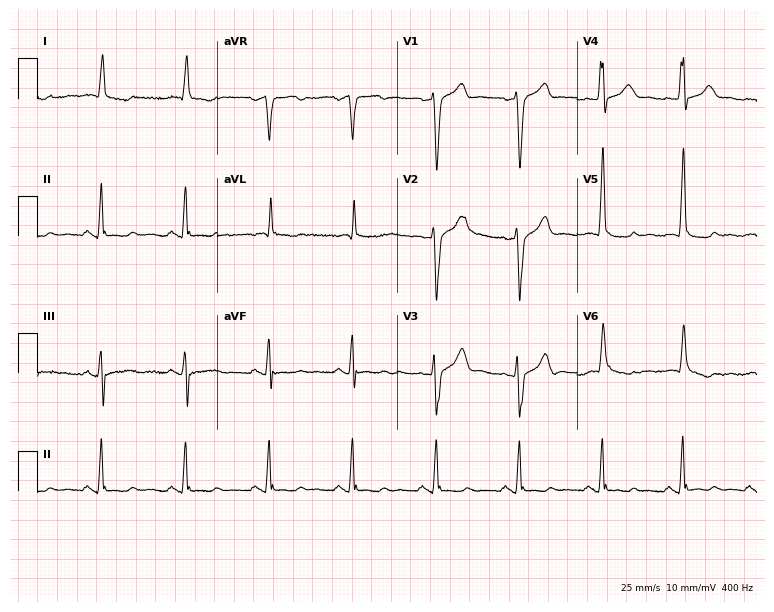
ECG (7.3-second recording at 400 Hz) — a 71-year-old man. Screened for six findings — first-degree AV block, right bundle branch block, left bundle branch block, sinus bradycardia, atrial fibrillation, sinus tachycardia — none is recorded.